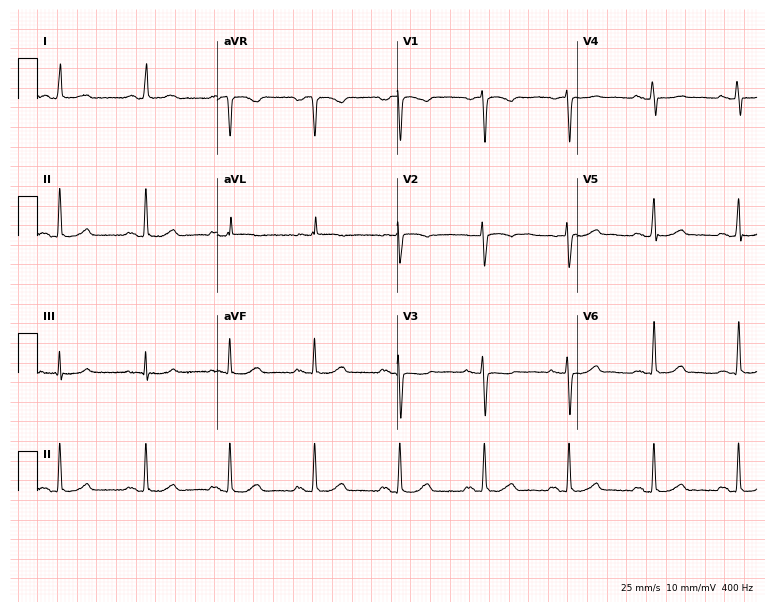
12-lead ECG from a female patient, 45 years old. Screened for six findings — first-degree AV block, right bundle branch block (RBBB), left bundle branch block (LBBB), sinus bradycardia, atrial fibrillation (AF), sinus tachycardia — none is recorded. Only these six findings were labelled.